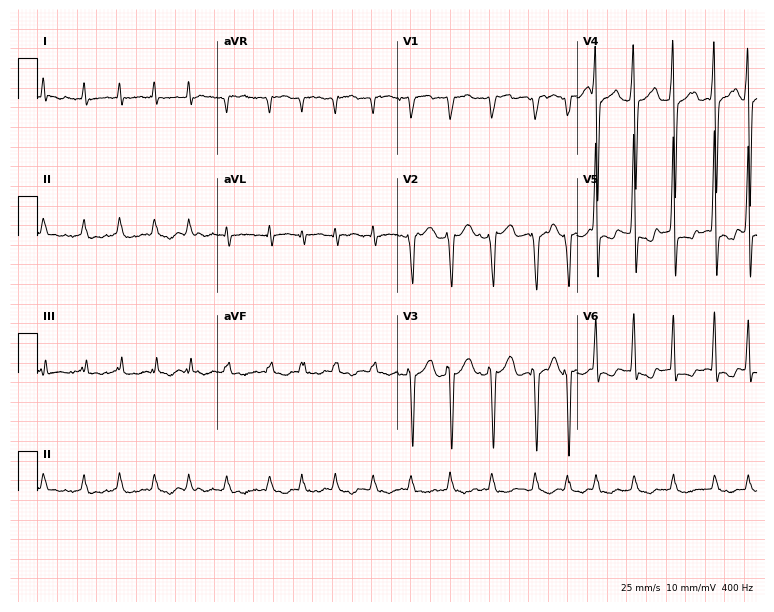
ECG (7.3-second recording at 400 Hz) — a man, 78 years old. Findings include atrial fibrillation (AF).